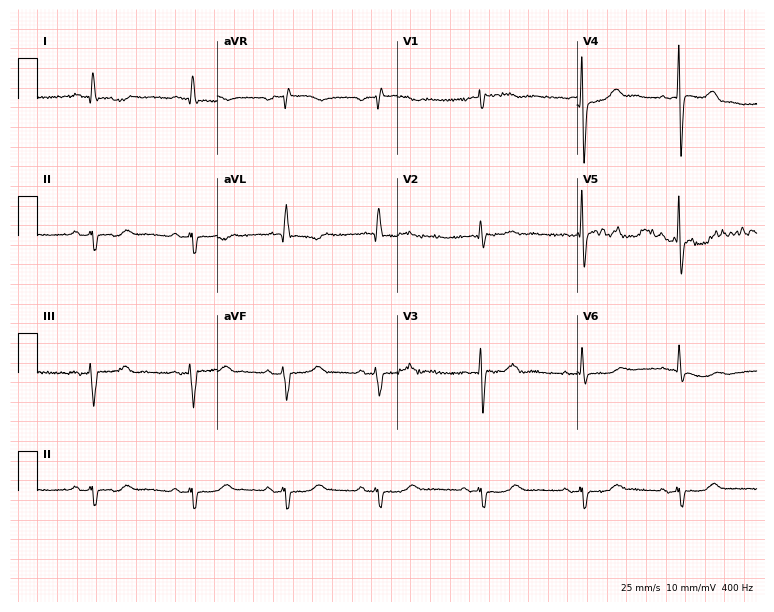
ECG — an 85-year-old man. Screened for six findings — first-degree AV block, right bundle branch block, left bundle branch block, sinus bradycardia, atrial fibrillation, sinus tachycardia — none is recorded. Findings outside these six are not listed.